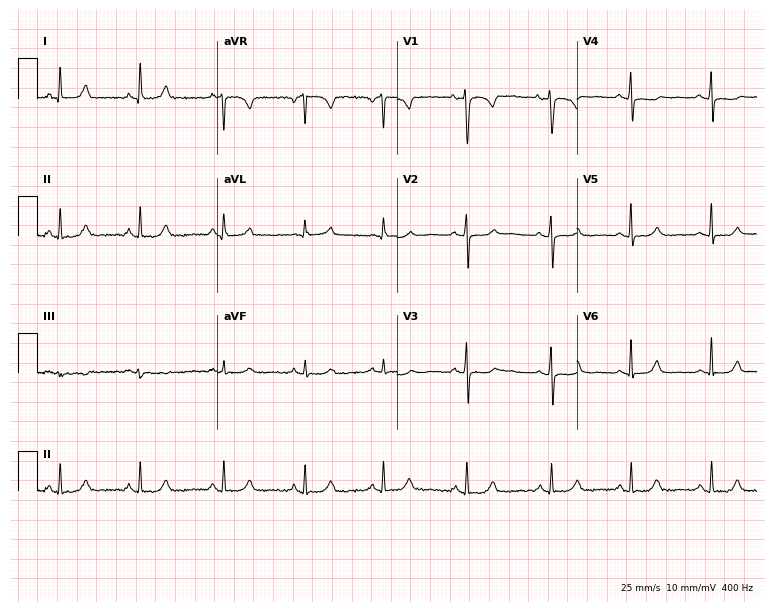
Resting 12-lead electrocardiogram (7.3-second recording at 400 Hz). Patient: a female, 33 years old. Read as a normal ECG.